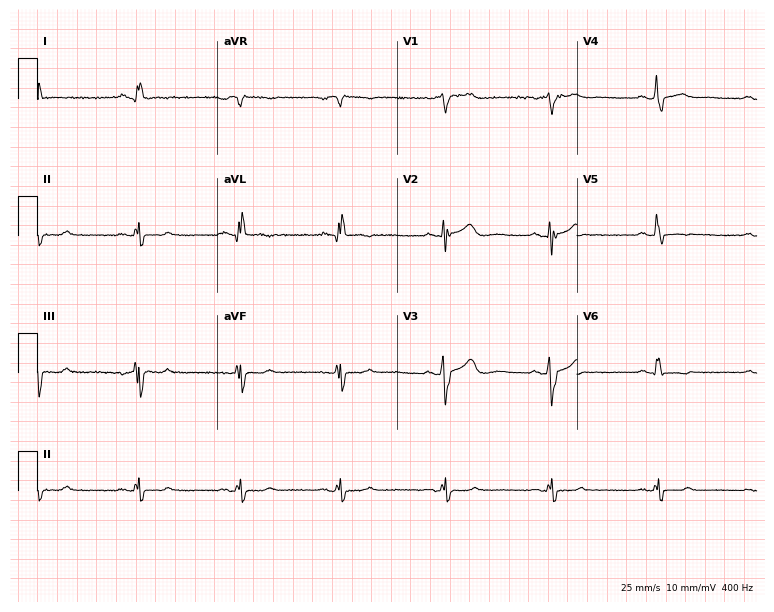
Electrocardiogram (7.3-second recording at 400 Hz), a female, 59 years old. Of the six screened findings (first-degree AV block, right bundle branch block, left bundle branch block, sinus bradycardia, atrial fibrillation, sinus tachycardia), none is recorded. Other findings, if any, are not listed.